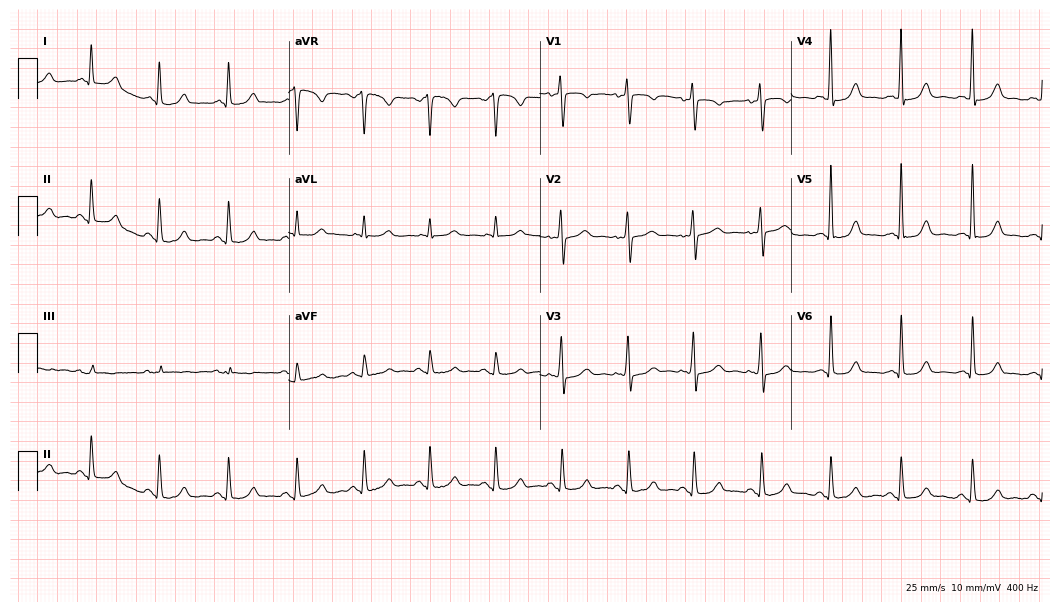
Standard 12-lead ECG recorded from a female patient, 52 years old. None of these six findings is recorded: first-degree AV block, right bundle branch block (RBBB), left bundle branch block (LBBB), sinus bradycardia, atrial fibrillation (AF), sinus tachycardia.